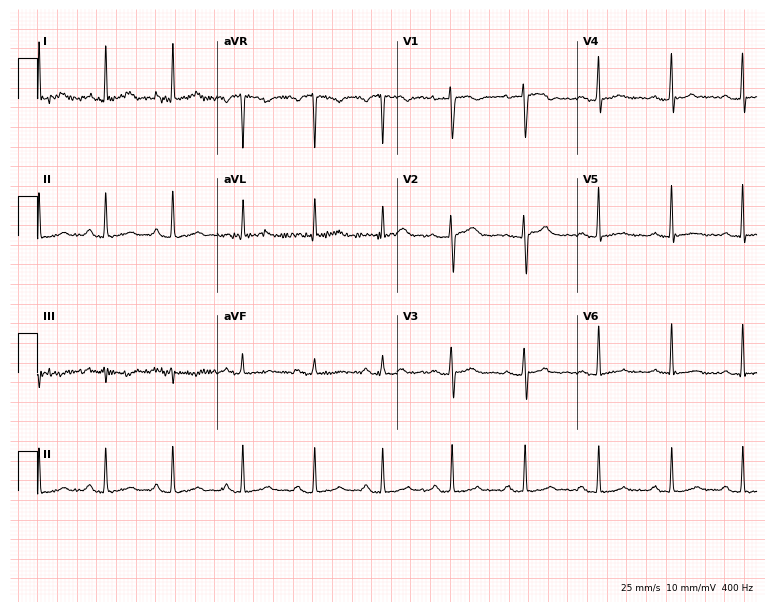
12-lead ECG from a woman, 33 years old. Labelled as a normal ECG.